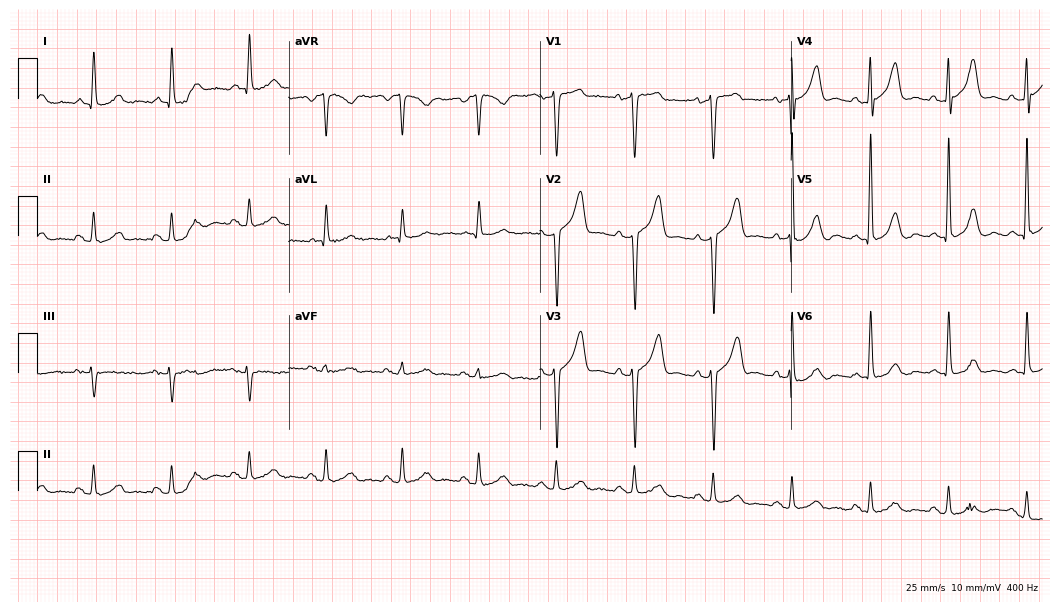
Standard 12-lead ECG recorded from a male patient, 71 years old (10.2-second recording at 400 Hz). Read as a normal ECG.